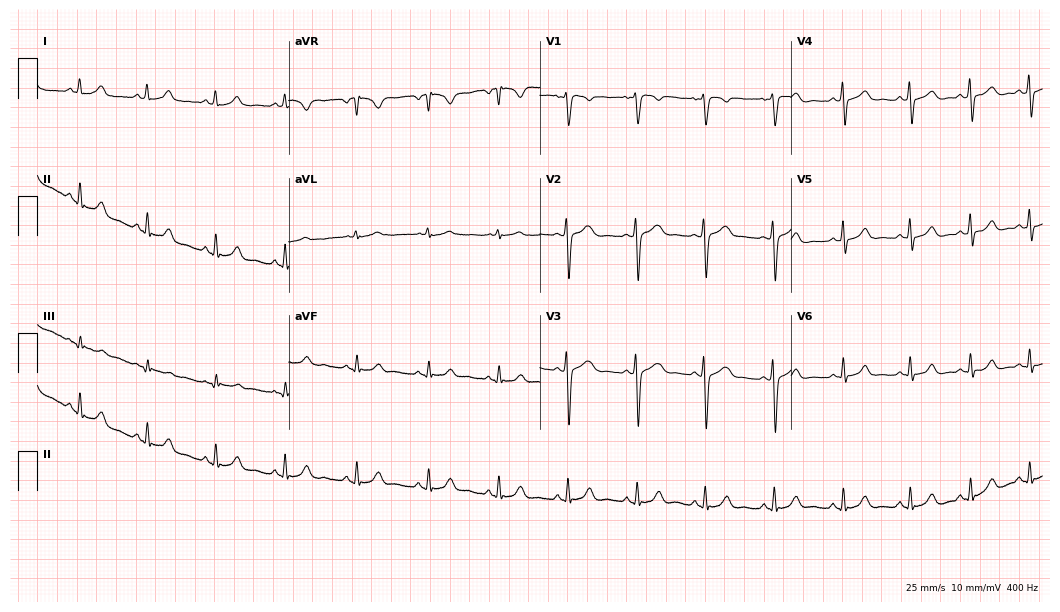
Standard 12-lead ECG recorded from a 31-year-old female (10.2-second recording at 400 Hz). Read as a normal ECG.